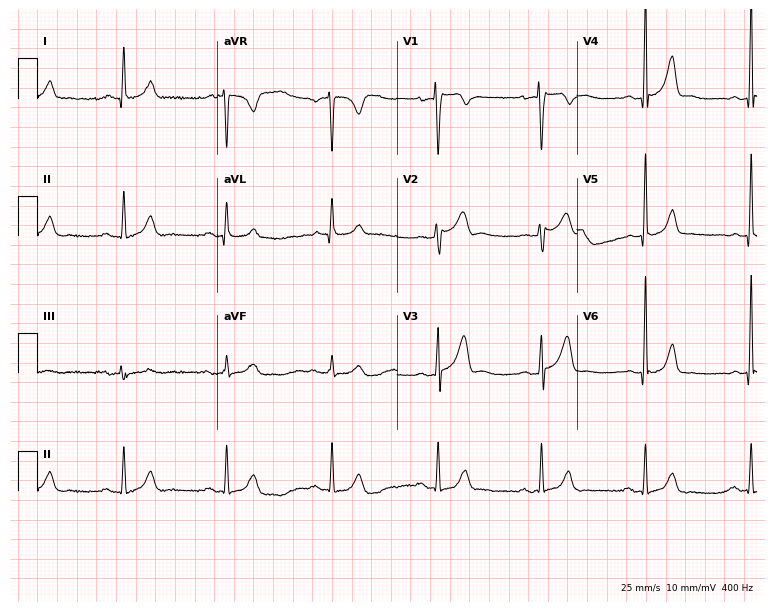
ECG (7.3-second recording at 400 Hz) — a female, 46 years old. Screened for six findings — first-degree AV block, right bundle branch block, left bundle branch block, sinus bradycardia, atrial fibrillation, sinus tachycardia — none is recorded. Findings outside these six are not listed.